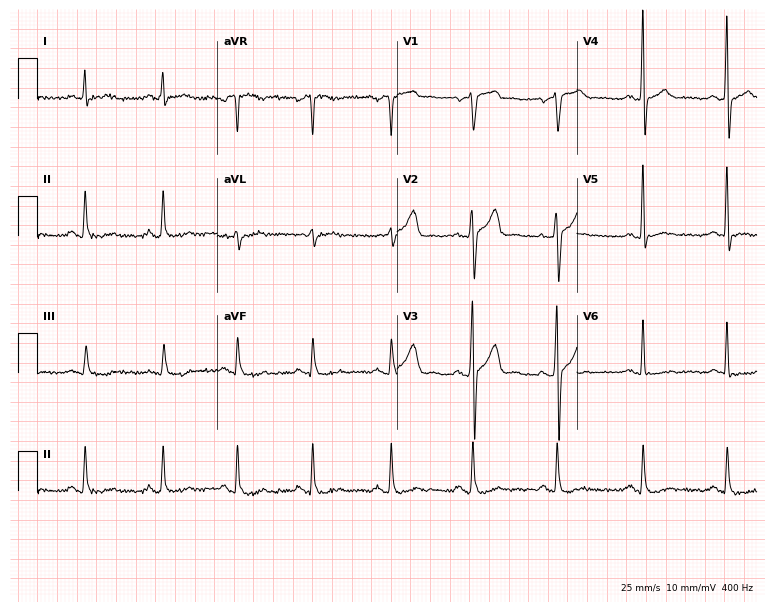
Standard 12-lead ECG recorded from a 49-year-old man (7.3-second recording at 400 Hz). Read as a normal ECG.